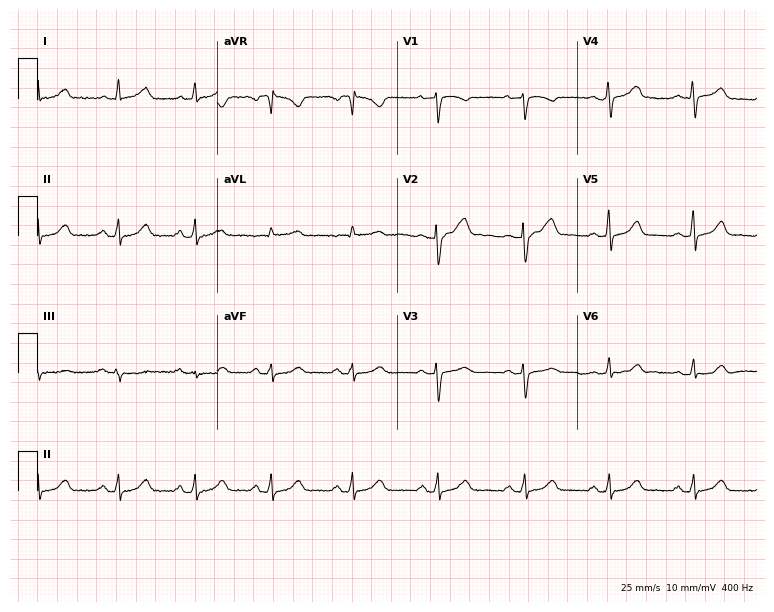
ECG — a 46-year-old female. Labelled as a normal ECG.